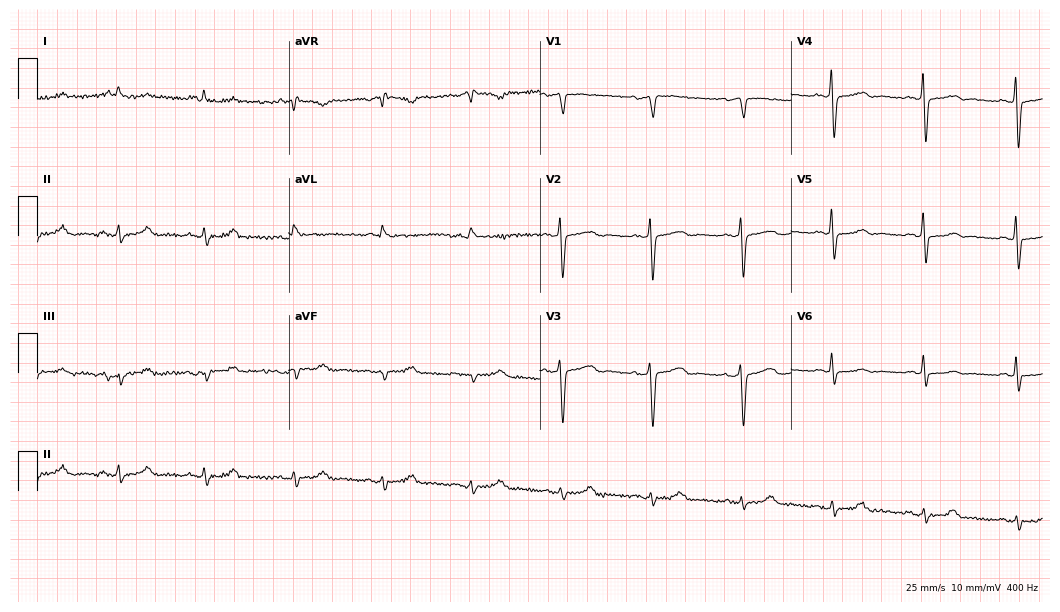
12-lead ECG from a male, 71 years old (10.2-second recording at 400 Hz). No first-degree AV block, right bundle branch block, left bundle branch block, sinus bradycardia, atrial fibrillation or sinus tachycardia recorded for this tracing. Findings outside these six are not listed.